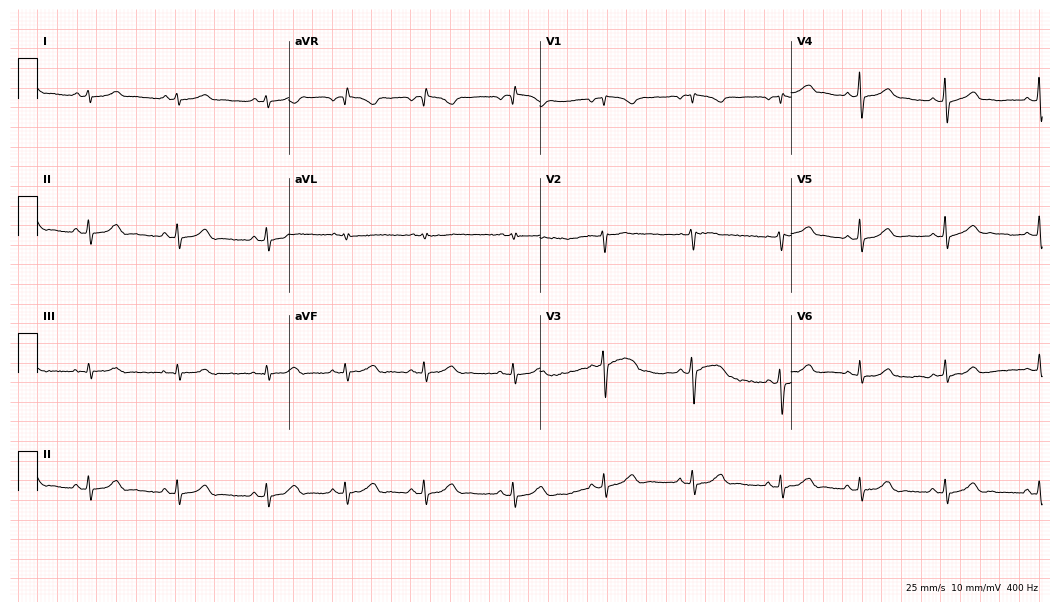
Resting 12-lead electrocardiogram (10.2-second recording at 400 Hz). Patient: a 37-year-old female. Read as a normal ECG.